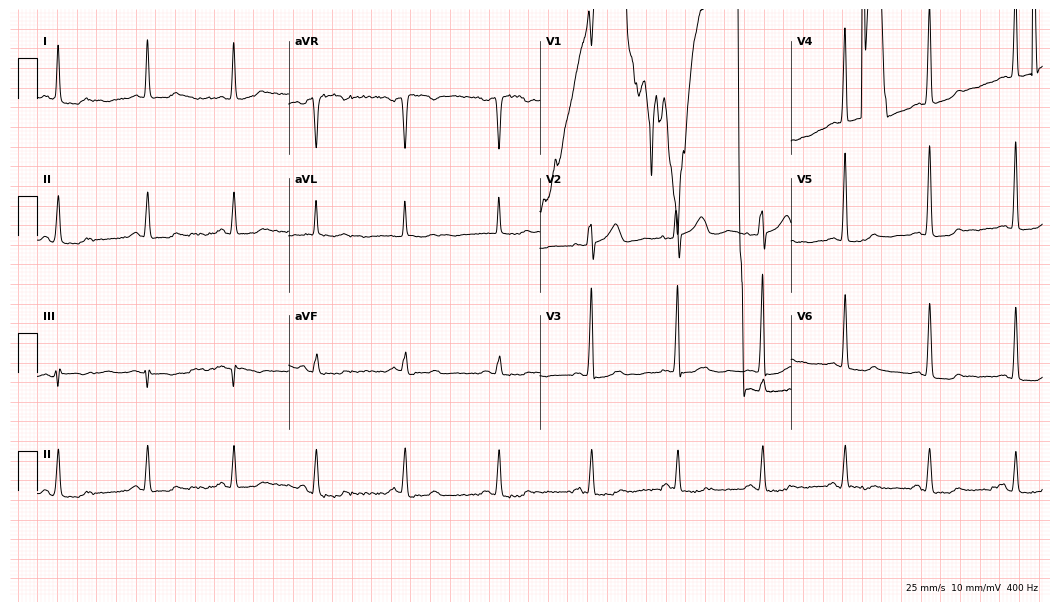
12-lead ECG from a 64-year-old male patient. Screened for six findings — first-degree AV block, right bundle branch block (RBBB), left bundle branch block (LBBB), sinus bradycardia, atrial fibrillation (AF), sinus tachycardia — none is recorded. Other findings, if any, are not listed.